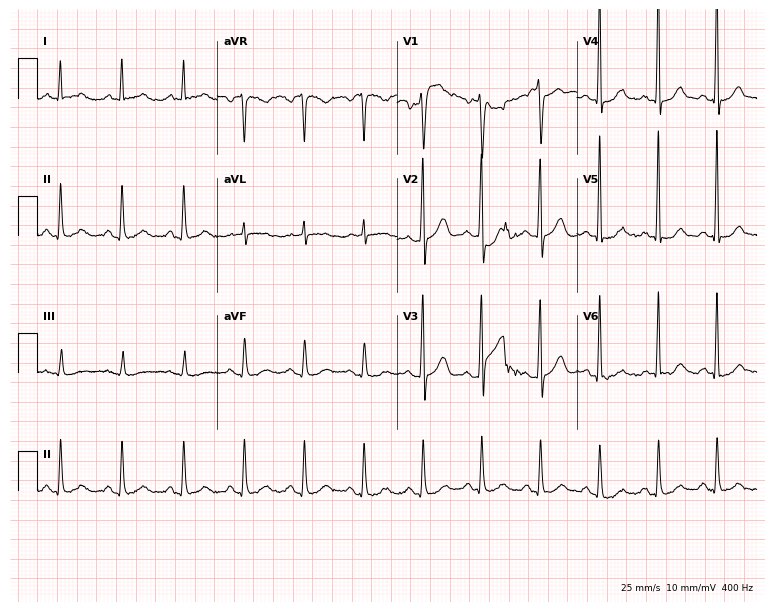
Standard 12-lead ECG recorded from a male, 64 years old. None of these six findings is recorded: first-degree AV block, right bundle branch block (RBBB), left bundle branch block (LBBB), sinus bradycardia, atrial fibrillation (AF), sinus tachycardia.